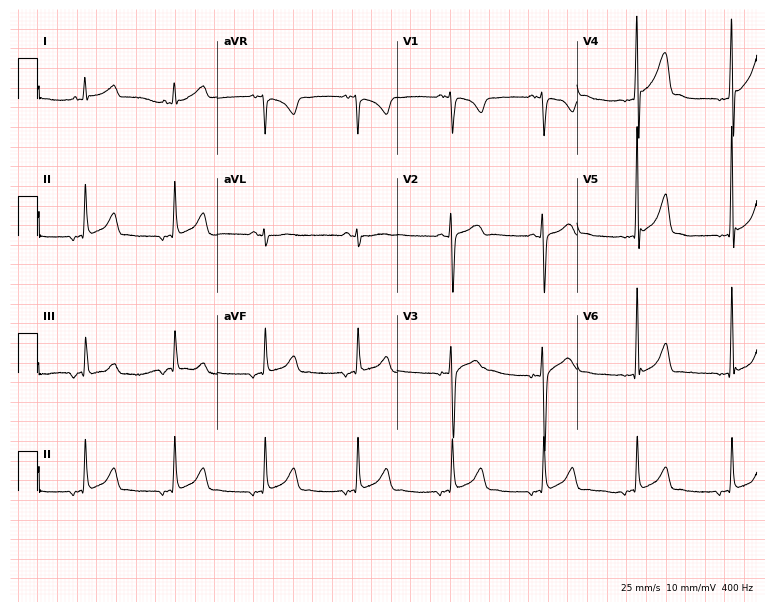
Resting 12-lead electrocardiogram. Patient: a male, 23 years old. None of these six findings is recorded: first-degree AV block, right bundle branch block, left bundle branch block, sinus bradycardia, atrial fibrillation, sinus tachycardia.